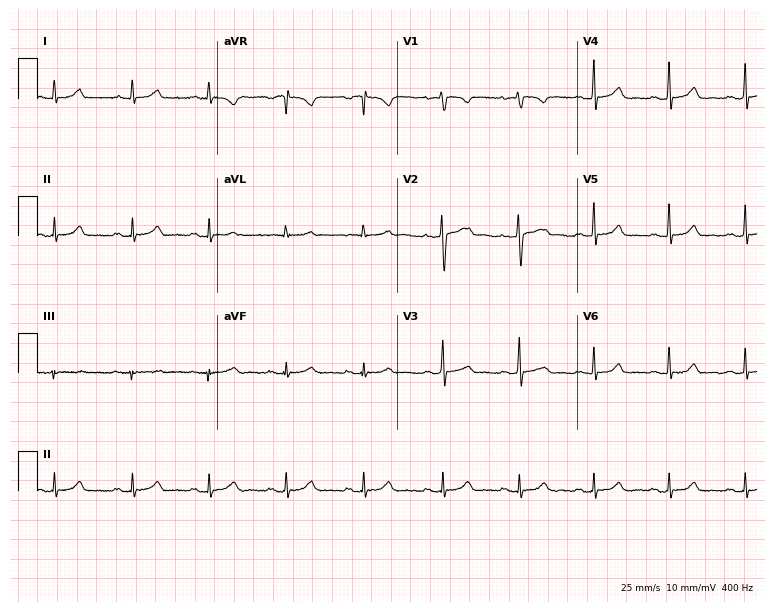
12-lead ECG (7.3-second recording at 400 Hz) from a 35-year-old female patient. Labelled as a normal ECG.